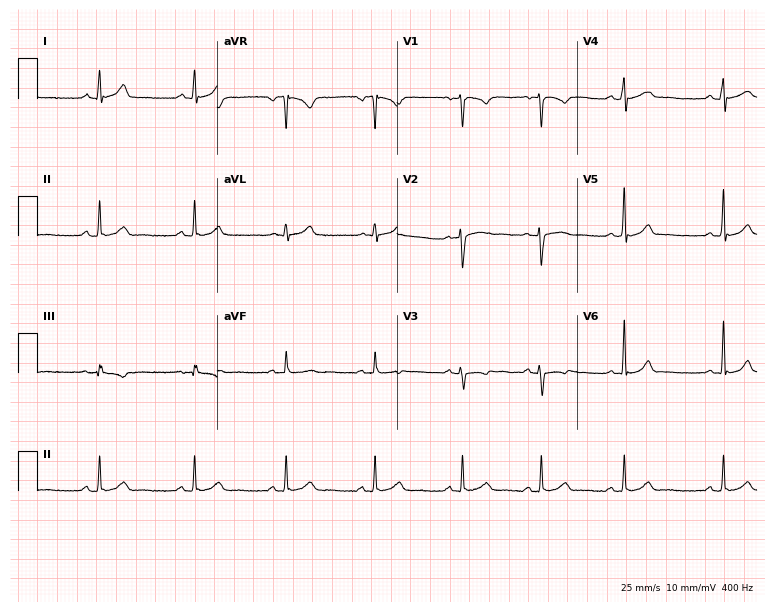
Resting 12-lead electrocardiogram (7.3-second recording at 400 Hz). Patient: a female, 24 years old. Read as a normal ECG.